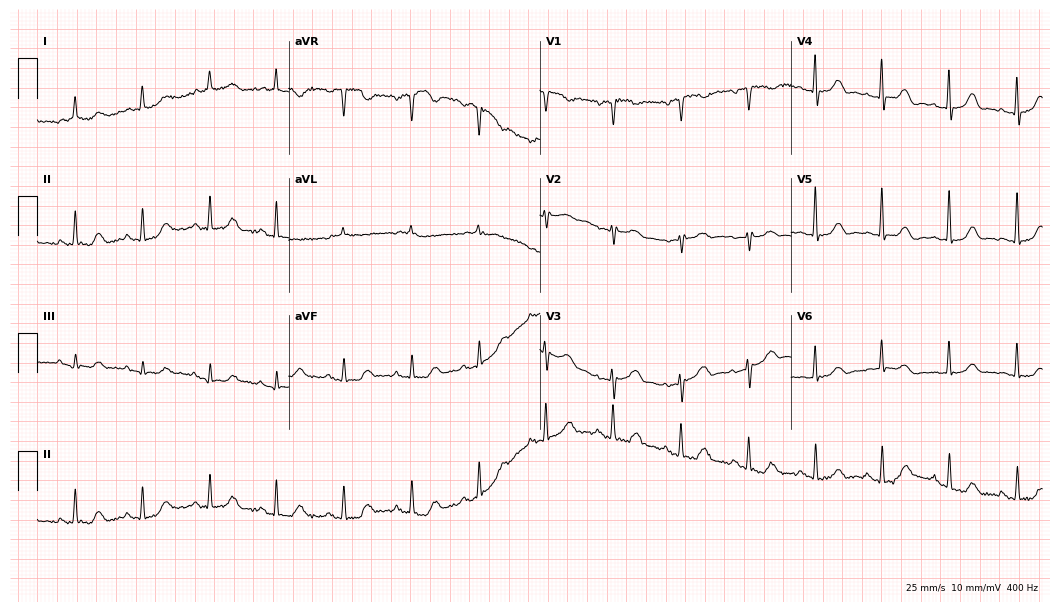
12-lead ECG (10.2-second recording at 400 Hz) from a 79-year-old female. Labelled as a normal ECG.